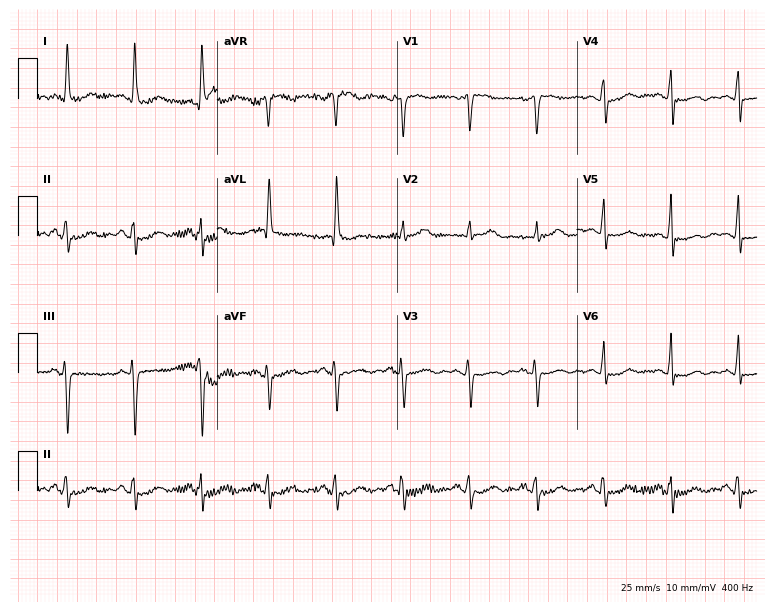
Electrocardiogram, a female patient, 73 years old. Of the six screened findings (first-degree AV block, right bundle branch block (RBBB), left bundle branch block (LBBB), sinus bradycardia, atrial fibrillation (AF), sinus tachycardia), none is recorded.